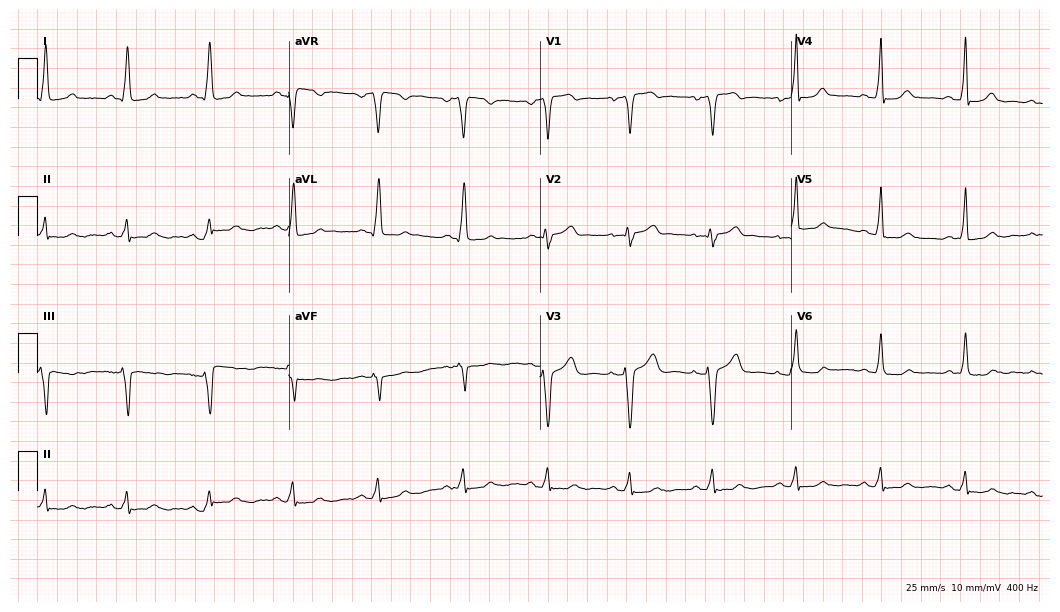
12-lead ECG from a 48-year-old woman. Screened for six findings — first-degree AV block, right bundle branch block (RBBB), left bundle branch block (LBBB), sinus bradycardia, atrial fibrillation (AF), sinus tachycardia — none is recorded. Findings outside these six are not listed.